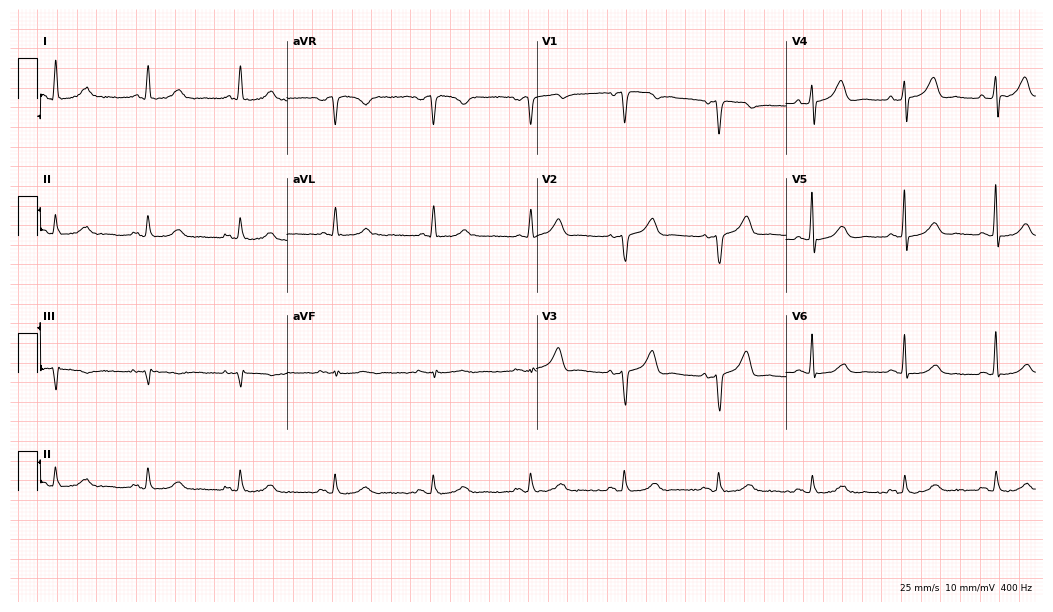
12-lead ECG from a 68-year-old male patient. Labelled as a normal ECG.